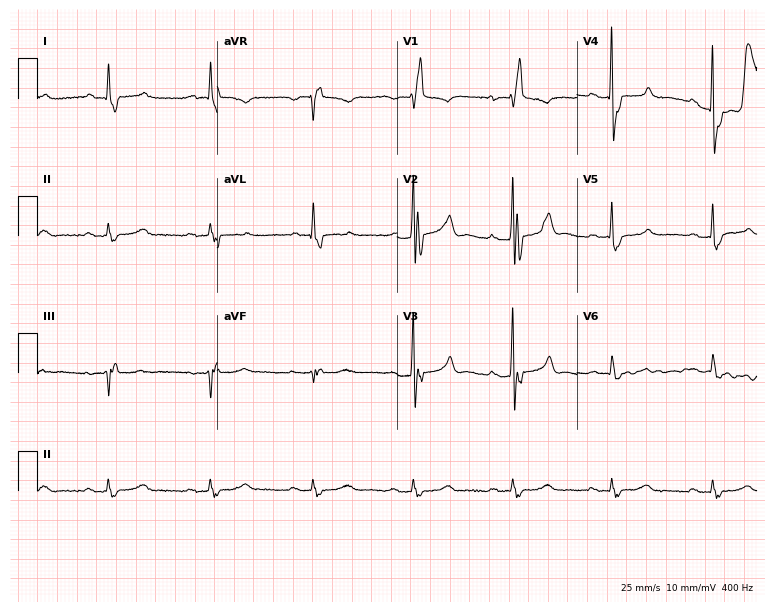
Electrocardiogram, a man, 80 years old. Of the six screened findings (first-degree AV block, right bundle branch block, left bundle branch block, sinus bradycardia, atrial fibrillation, sinus tachycardia), none is recorded.